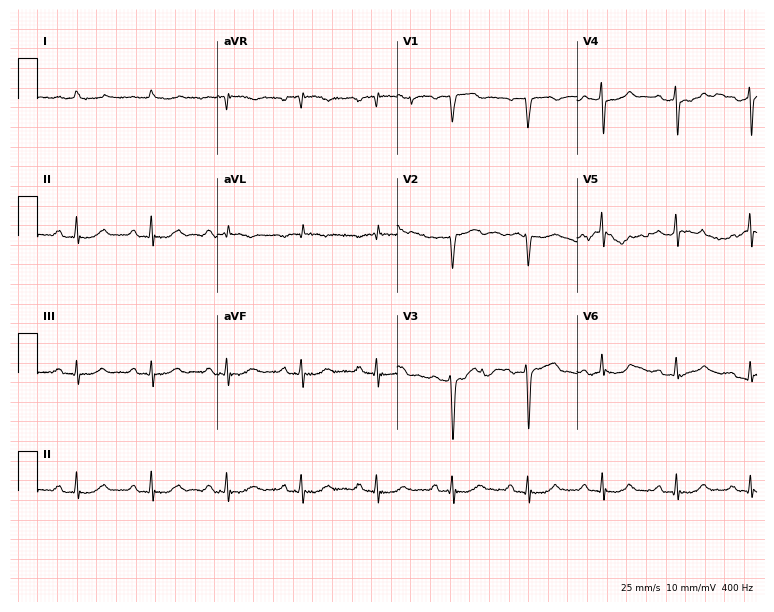
ECG — a male, 69 years old. Labelled as a normal ECG.